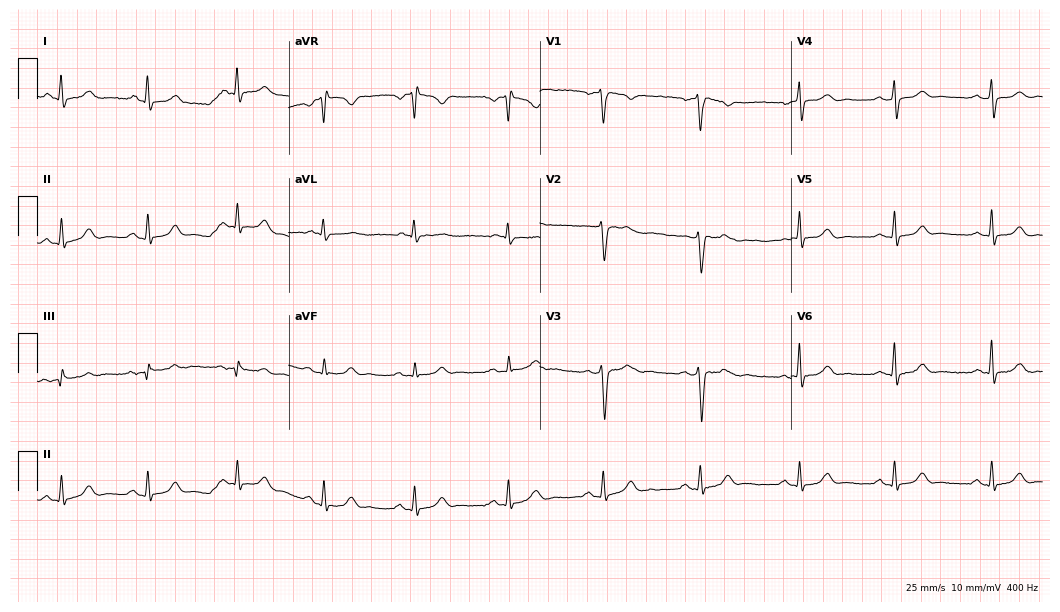
12-lead ECG from a 25-year-old female patient (10.2-second recording at 400 Hz). Recorded interpretation: within normal limits.